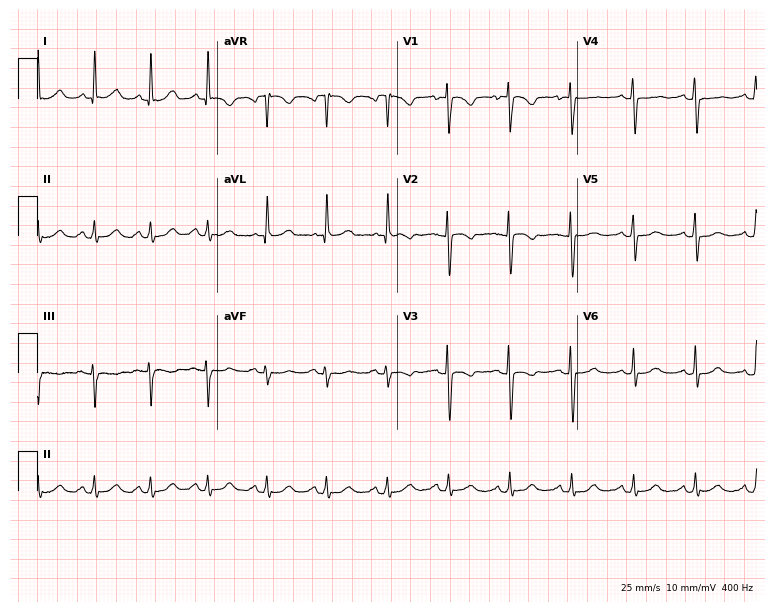
Electrocardiogram (7.3-second recording at 400 Hz), a woman, 49 years old. Of the six screened findings (first-degree AV block, right bundle branch block (RBBB), left bundle branch block (LBBB), sinus bradycardia, atrial fibrillation (AF), sinus tachycardia), none is recorded.